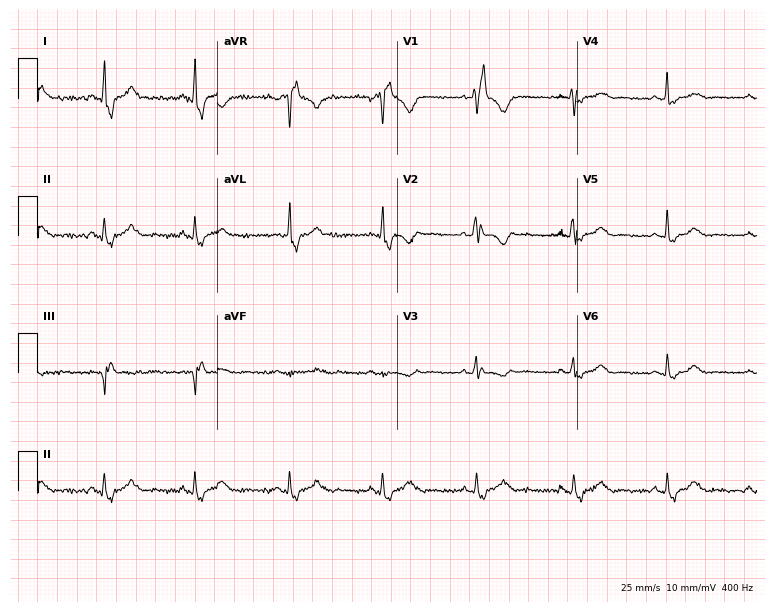
ECG — a female, 48 years old. Screened for six findings — first-degree AV block, right bundle branch block (RBBB), left bundle branch block (LBBB), sinus bradycardia, atrial fibrillation (AF), sinus tachycardia — none is recorded. Other findings, if any, are not listed.